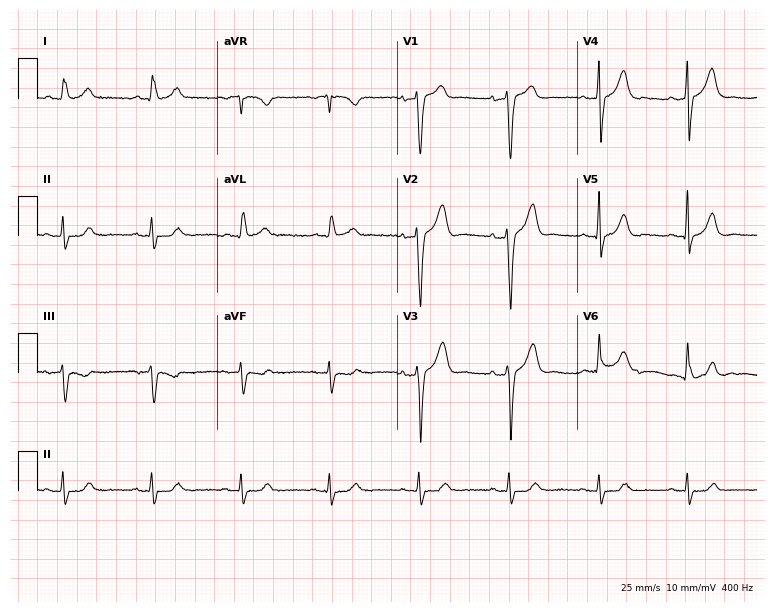
Resting 12-lead electrocardiogram (7.3-second recording at 400 Hz). Patient: a 65-year-old male. Read as a normal ECG.